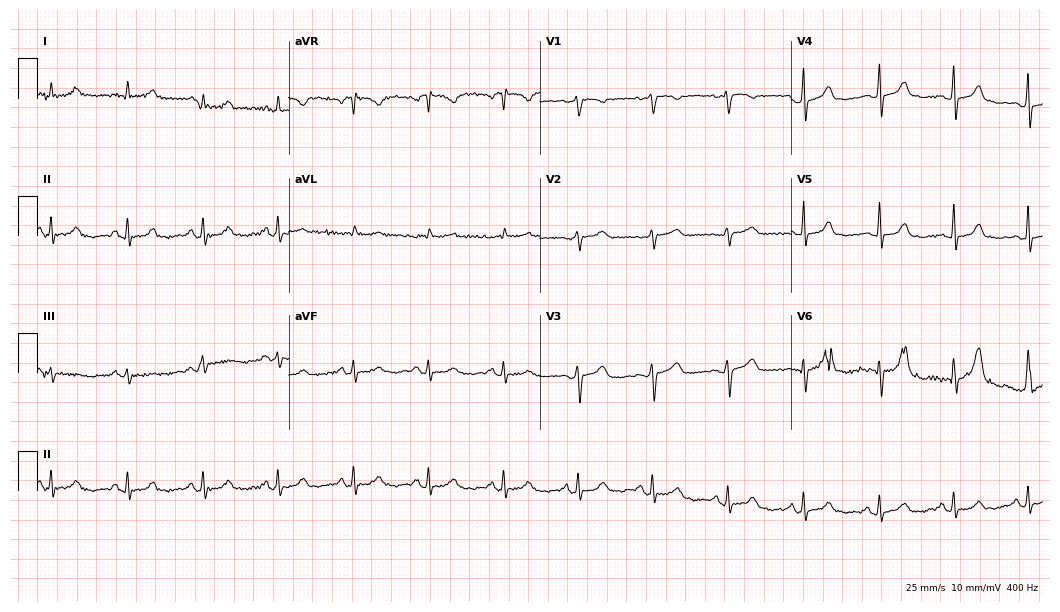
12-lead ECG from a 59-year-old woman (10.2-second recording at 400 Hz). Recorded interpretation: within normal limits.